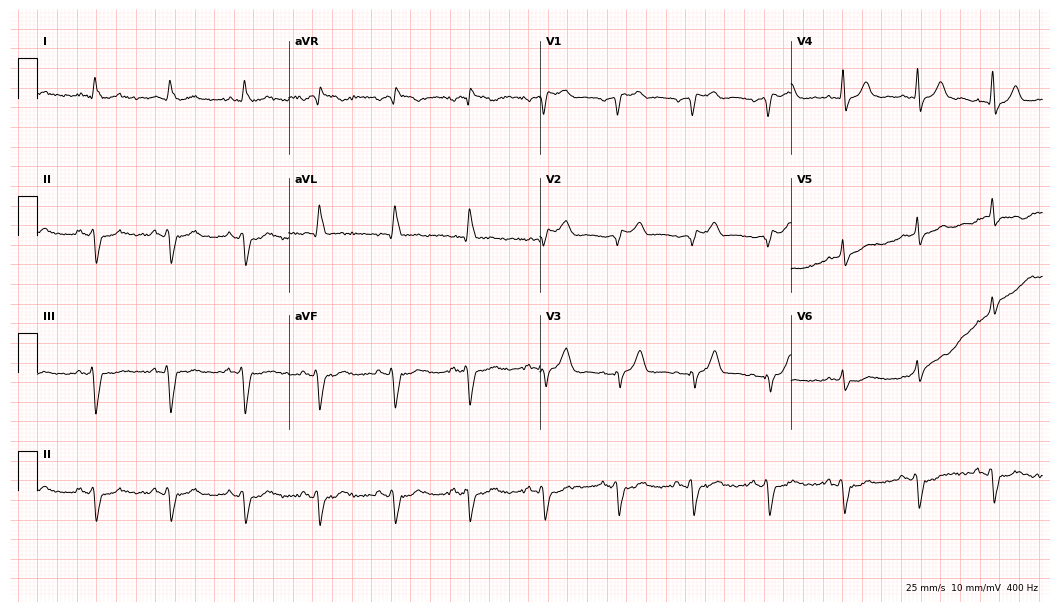
12-lead ECG from a man, 79 years old (10.2-second recording at 400 Hz). No first-degree AV block, right bundle branch block, left bundle branch block, sinus bradycardia, atrial fibrillation or sinus tachycardia recorded for this tracing. Only these six findings were labelled.